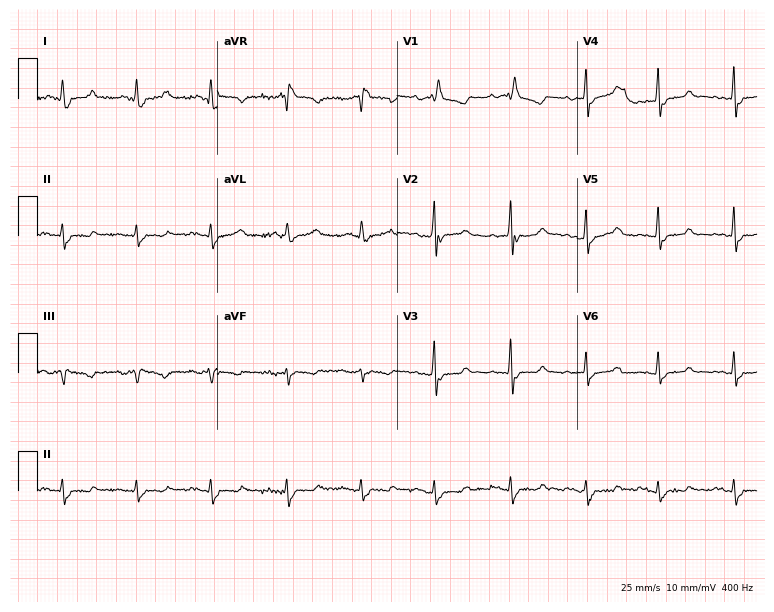
Electrocardiogram, a 77-year-old female. Interpretation includes right bundle branch block.